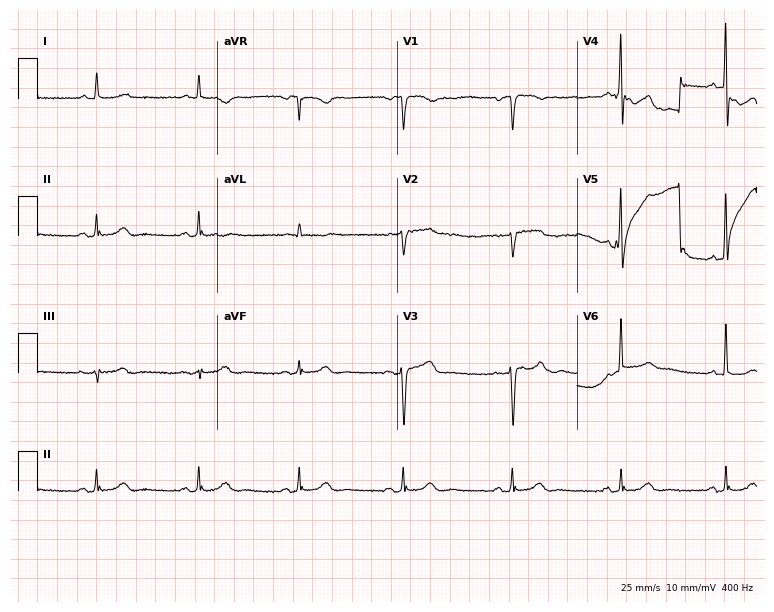
Resting 12-lead electrocardiogram (7.3-second recording at 400 Hz). Patient: a woman, 65 years old. None of these six findings is recorded: first-degree AV block, right bundle branch block, left bundle branch block, sinus bradycardia, atrial fibrillation, sinus tachycardia. Findings outside these six are not listed.